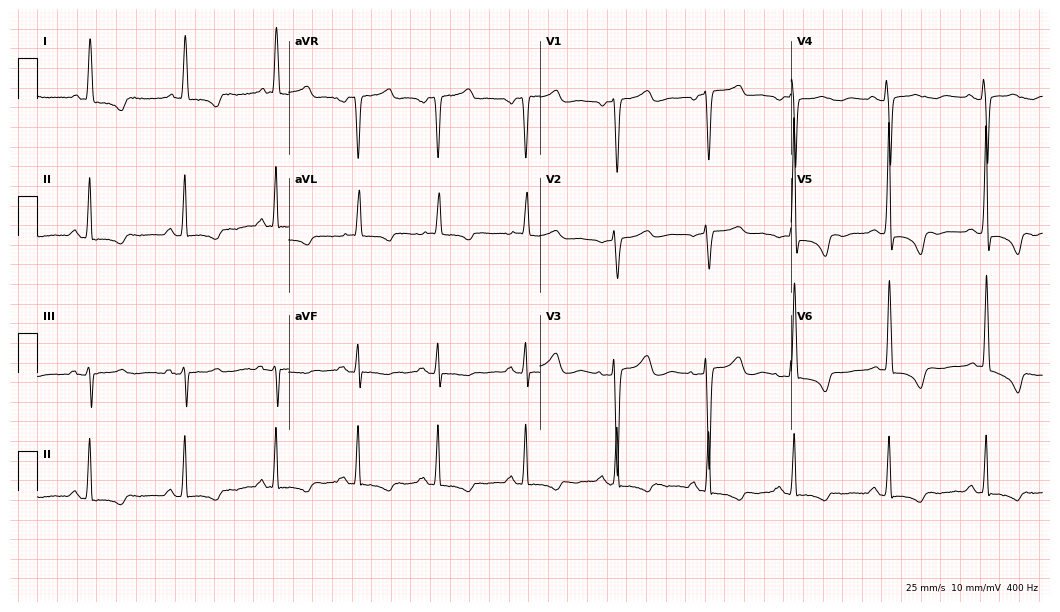
Electrocardiogram, a woman, 69 years old. Of the six screened findings (first-degree AV block, right bundle branch block, left bundle branch block, sinus bradycardia, atrial fibrillation, sinus tachycardia), none is recorded.